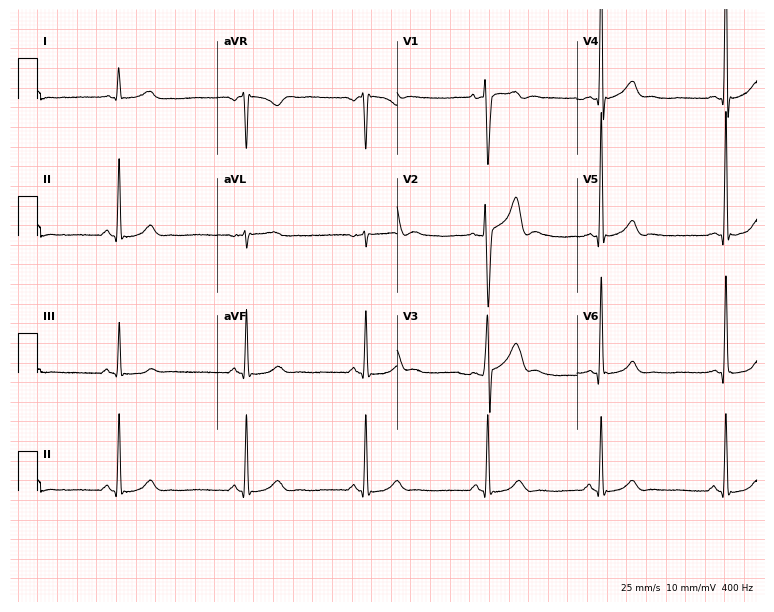
ECG — a 29-year-old male patient. Findings include sinus bradycardia (a sinus rate of 50 beats per minute or less).